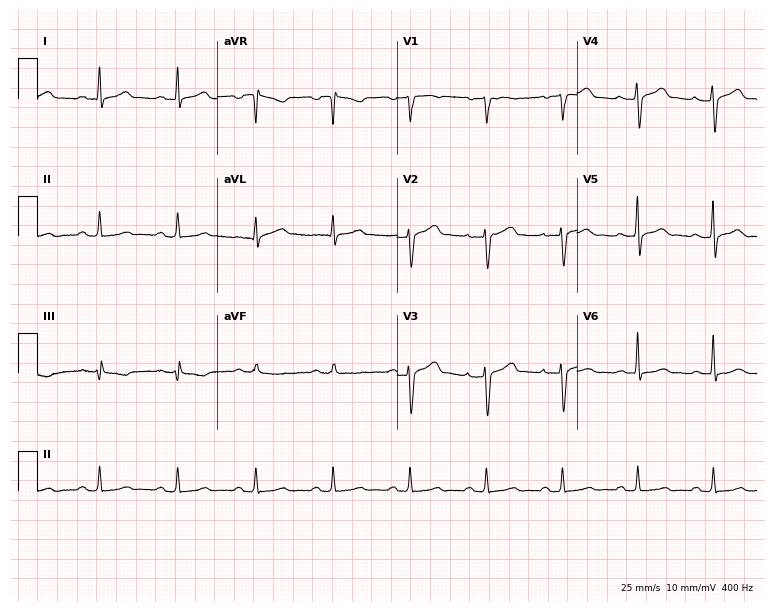
12-lead ECG (7.3-second recording at 400 Hz) from a male patient, 39 years old. Labelled as a normal ECG.